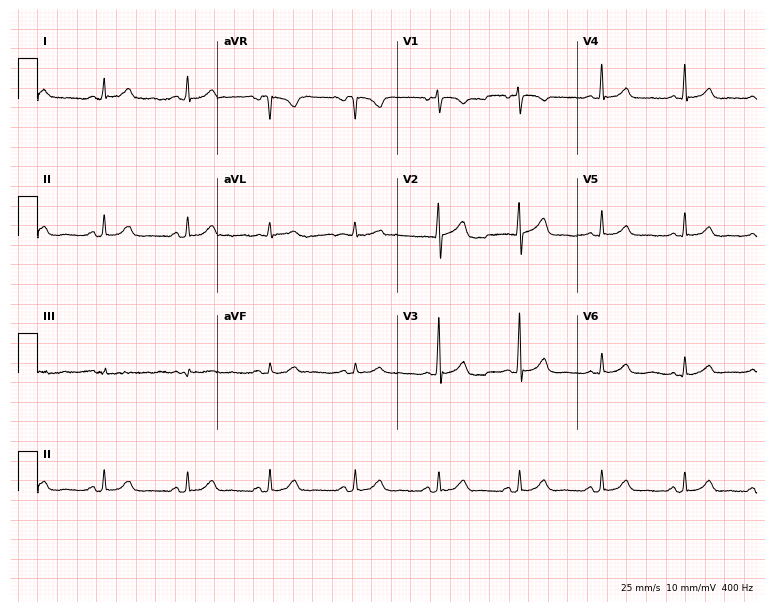
Standard 12-lead ECG recorded from a female, 36 years old (7.3-second recording at 400 Hz). Read as a normal ECG.